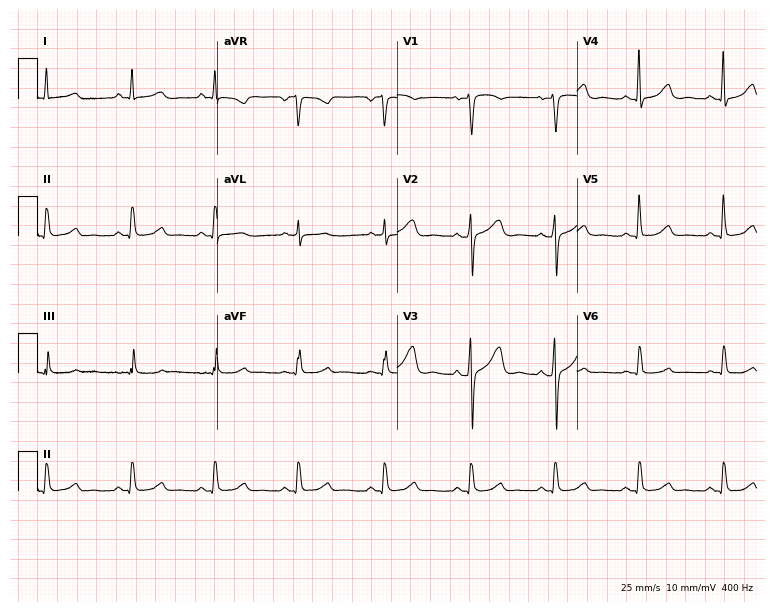
12-lead ECG (7.3-second recording at 400 Hz) from a 56-year-old female patient. Labelled as a normal ECG.